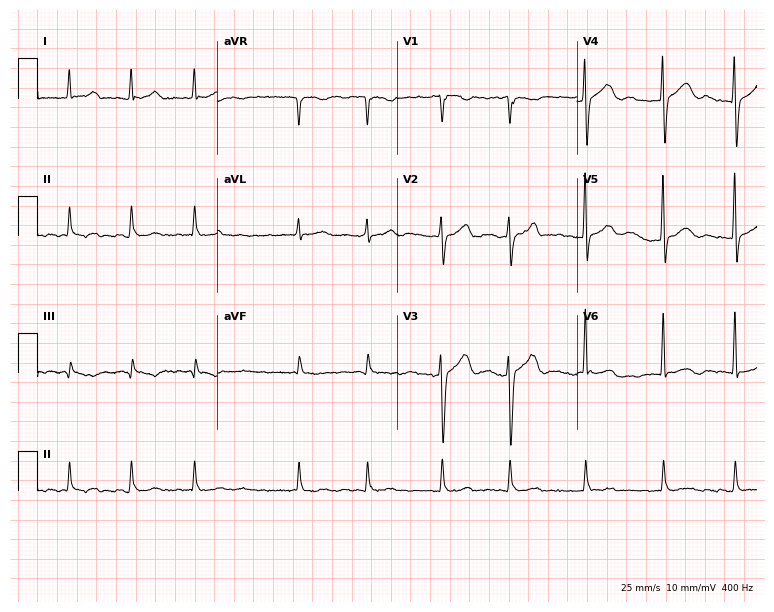
12-lead ECG (7.3-second recording at 400 Hz) from a 66-year-old male patient. Findings include atrial fibrillation.